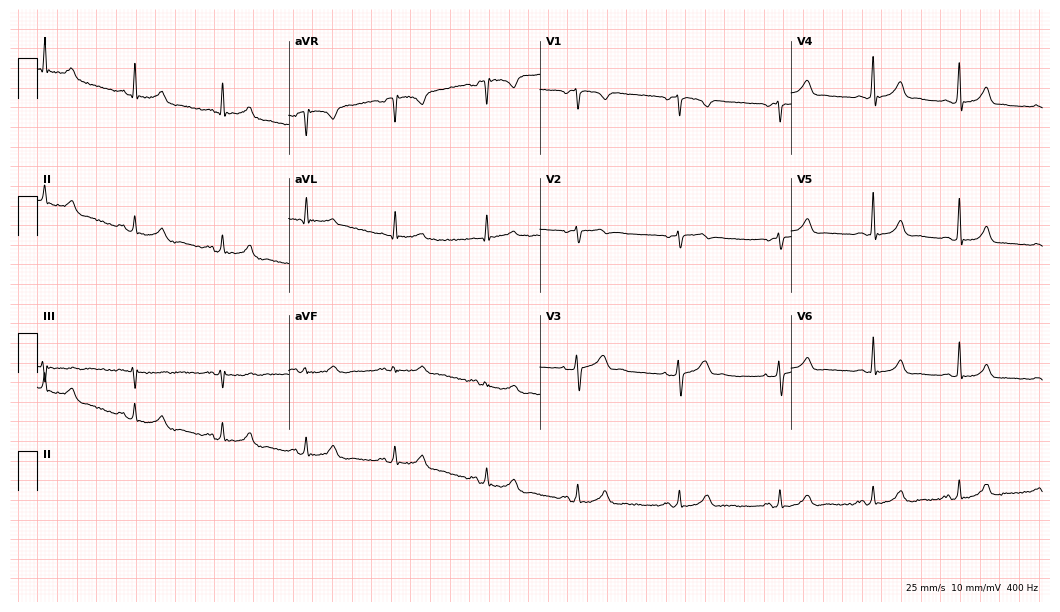
12-lead ECG from a 44-year-old female patient (10.2-second recording at 400 Hz). Recorded interpretation: within normal limits.